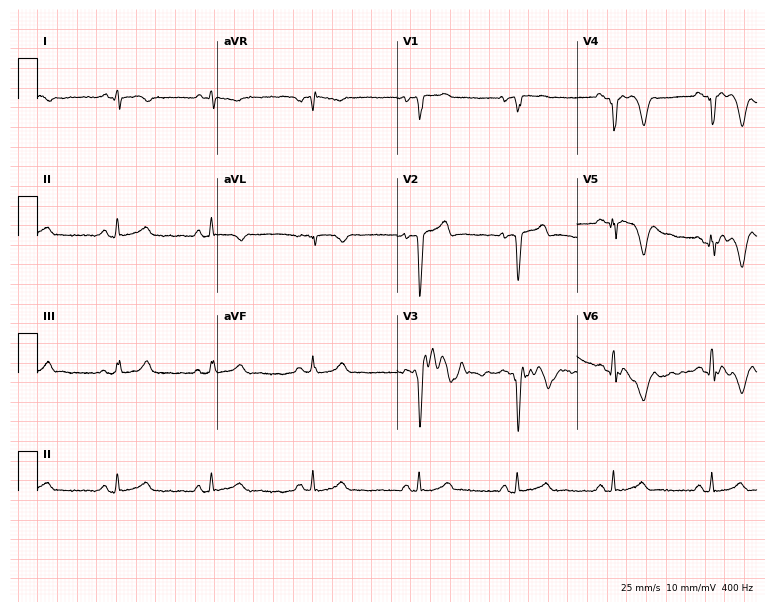
ECG — a man, 34 years old. Screened for six findings — first-degree AV block, right bundle branch block, left bundle branch block, sinus bradycardia, atrial fibrillation, sinus tachycardia — none is recorded. Other findings, if any, are not listed.